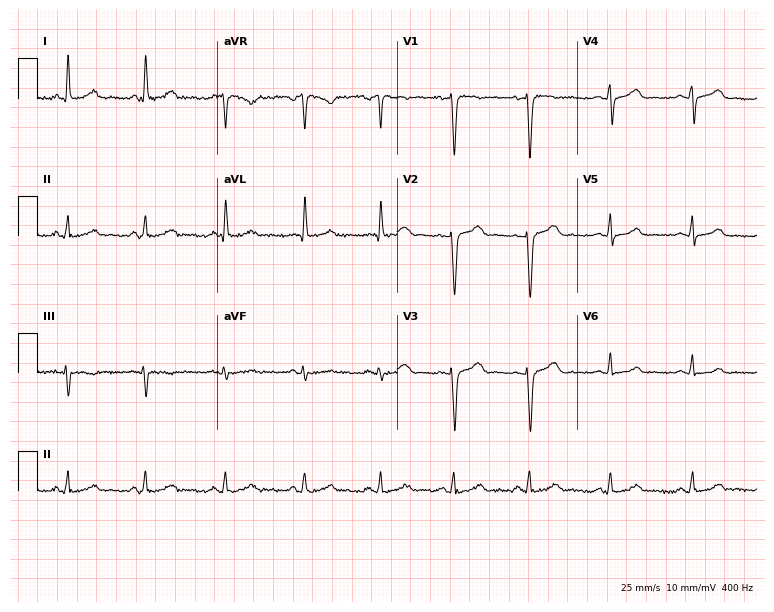
Resting 12-lead electrocardiogram. Patient: a 38-year-old woman. None of these six findings is recorded: first-degree AV block, right bundle branch block, left bundle branch block, sinus bradycardia, atrial fibrillation, sinus tachycardia.